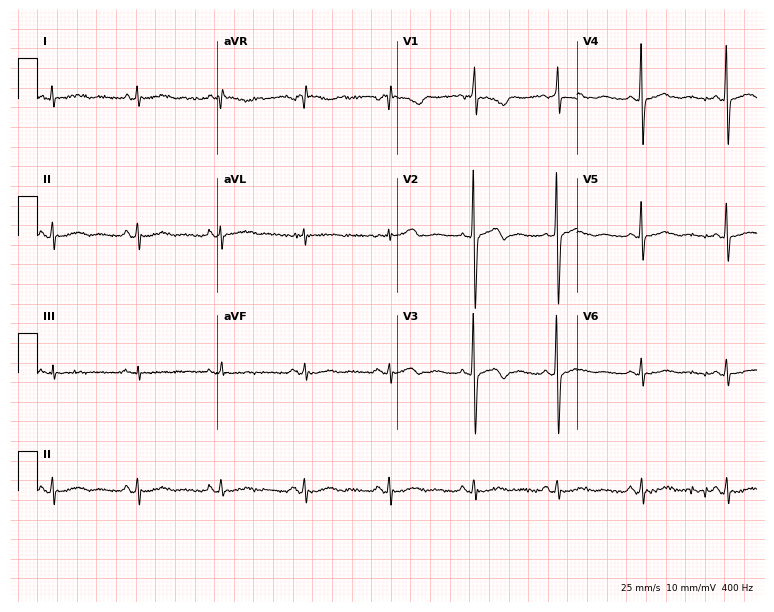
12-lead ECG (7.3-second recording at 400 Hz) from a female, 69 years old. Labelled as a normal ECG.